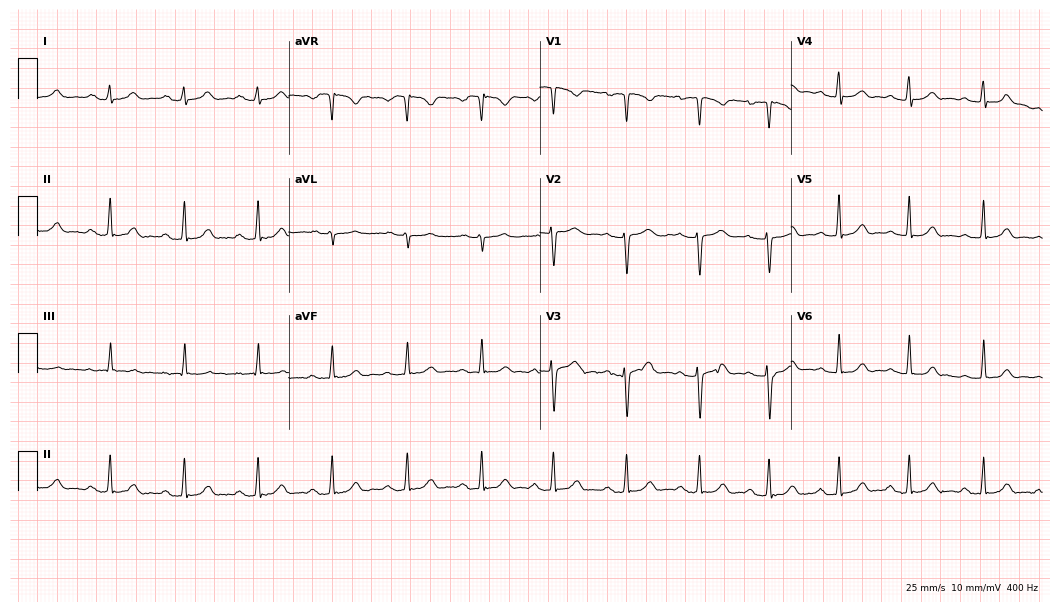
12-lead ECG from a woman, 17 years old. Labelled as a normal ECG.